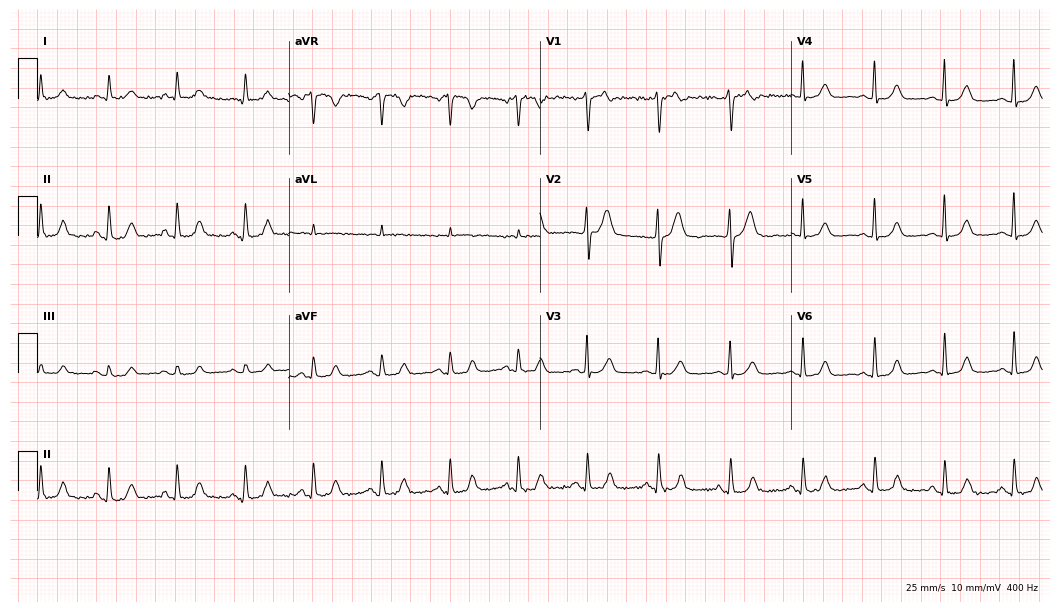
Resting 12-lead electrocardiogram. Patient: a 43-year-old woman. Read as a normal ECG.